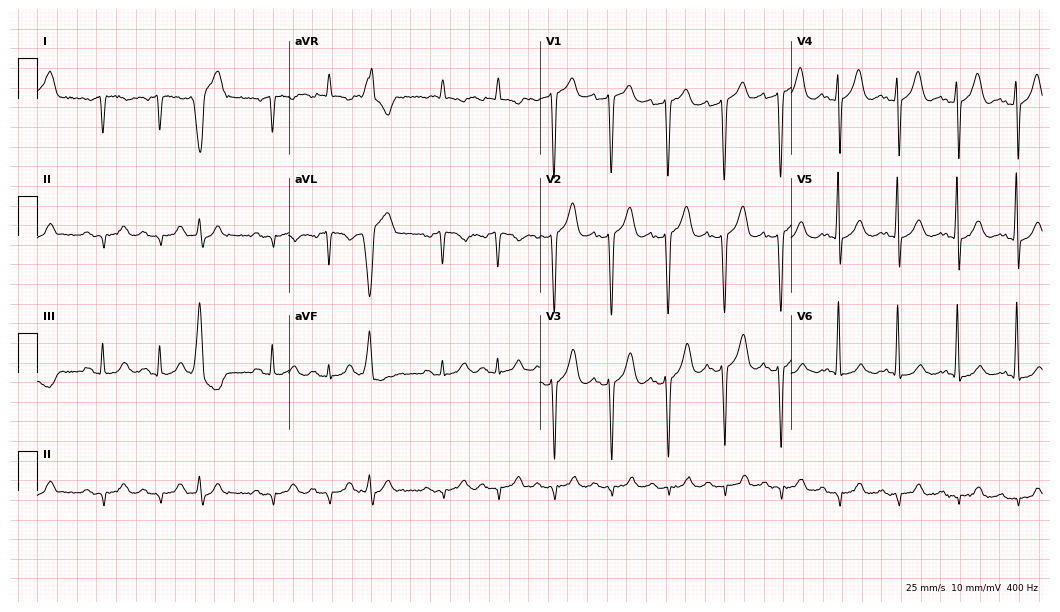
12-lead ECG from a man, 80 years old. No first-degree AV block, right bundle branch block (RBBB), left bundle branch block (LBBB), sinus bradycardia, atrial fibrillation (AF) or sinus tachycardia recorded for this tracing. Other findings, if any, are not listed.